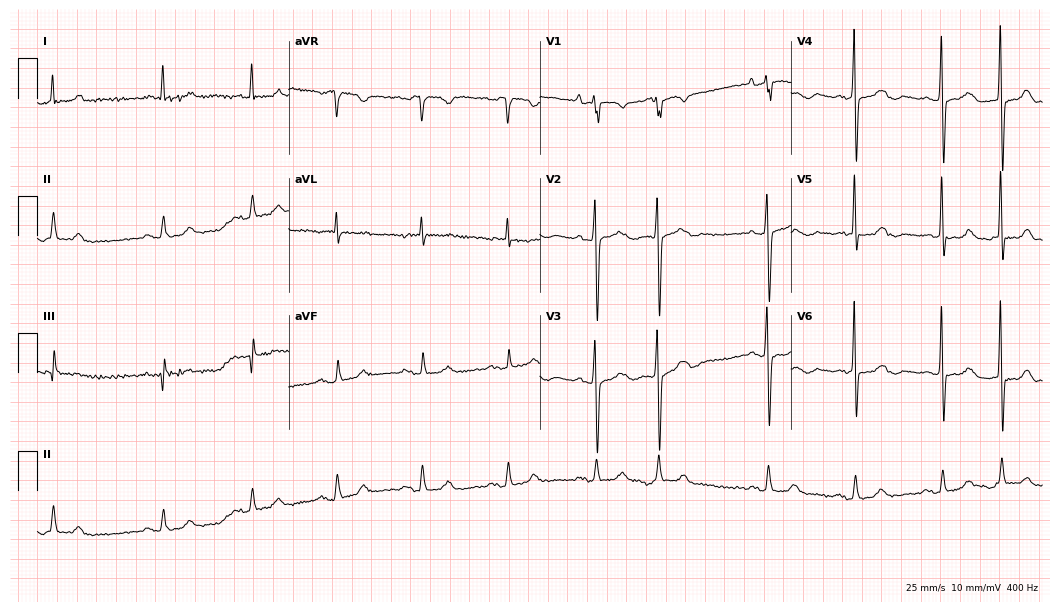
Standard 12-lead ECG recorded from a 79-year-old female (10.2-second recording at 400 Hz). None of these six findings is recorded: first-degree AV block, right bundle branch block, left bundle branch block, sinus bradycardia, atrial fibrillation, sinus tachycardia.